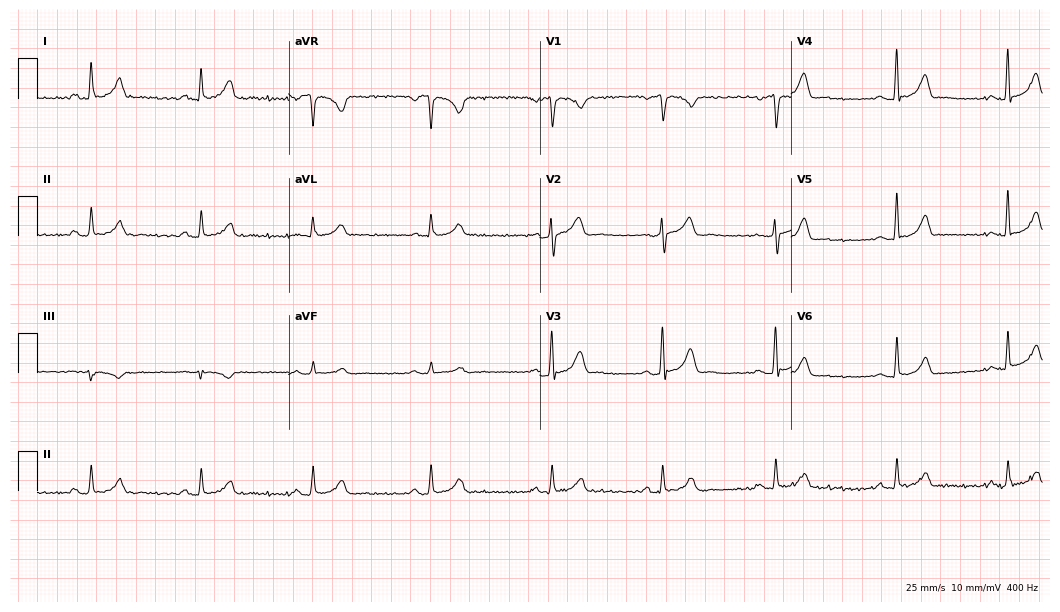
ECG (10.2-second recording at 400 Hz) — a 34-year-old male. Labelled as a normal ECG.